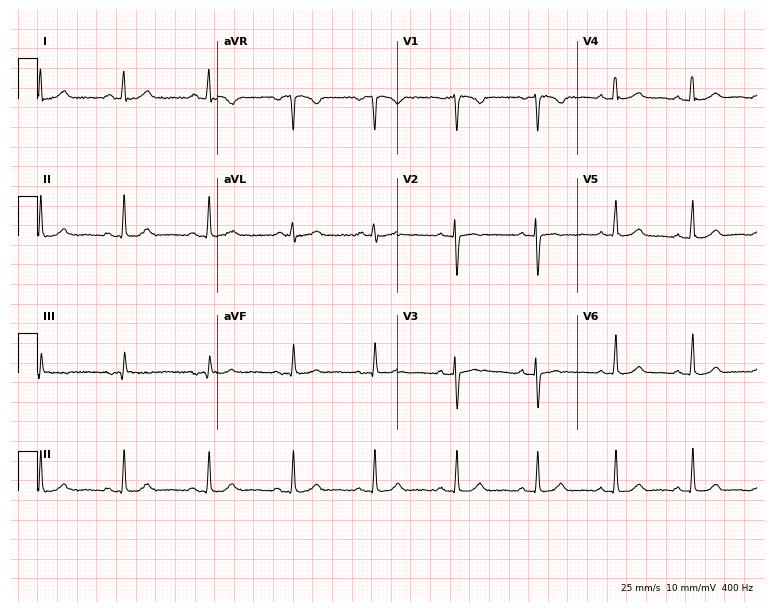
12-lead ECG (7.3-second recording at 400 Hz) from a 28-year-old woman. Labelled as a normal ECG.